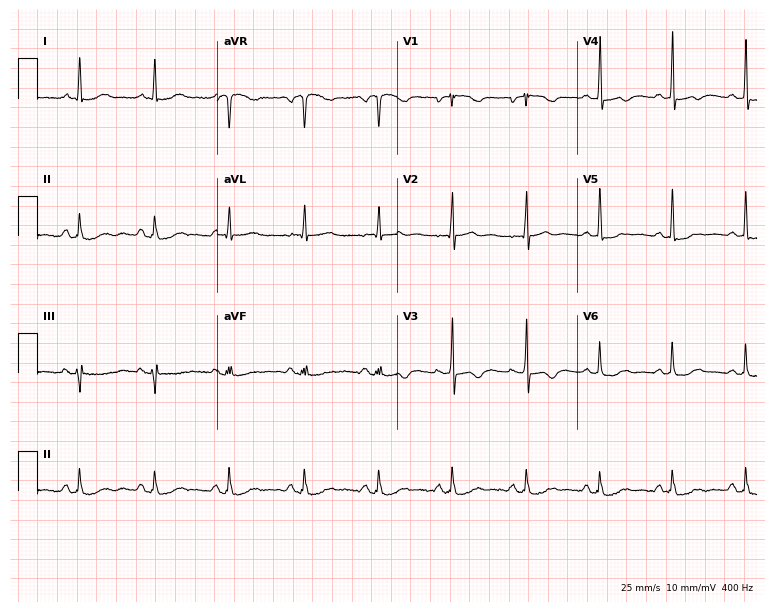
Electrocardiogram, an 81-year-old female. Of the six screened findings (first-degree AV block, right bundle branch block (RBBB), left bundle branch block (LBBB), sinus bradycardia, atrial fibrillation (AF), sinus tachycardia), none is recorded. Other findings, if any, are not listed.